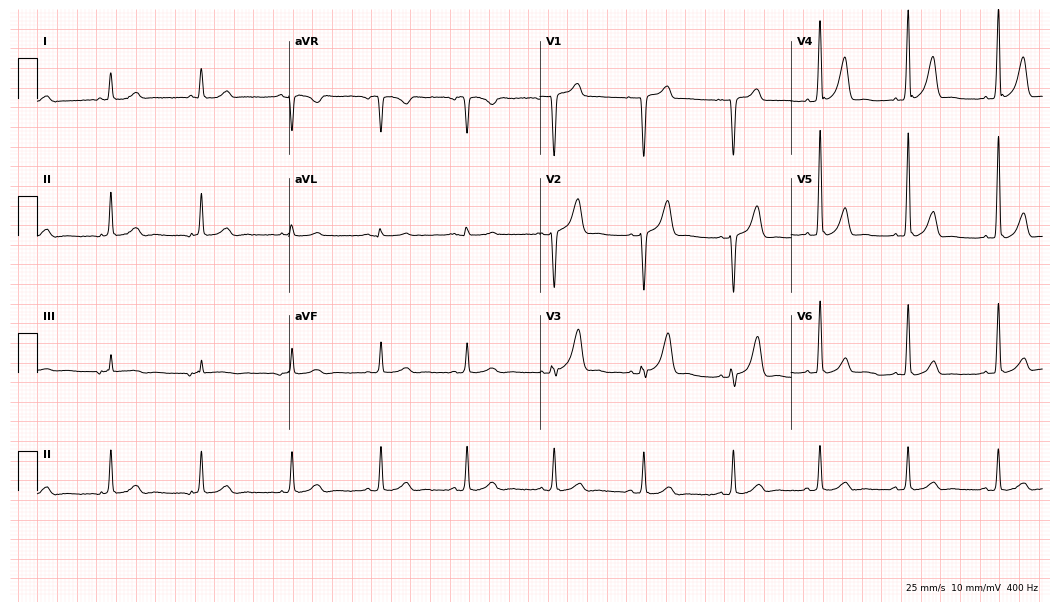
12-lead ECG from a 65-year-old male. Recorded interpretation: within normal limits.